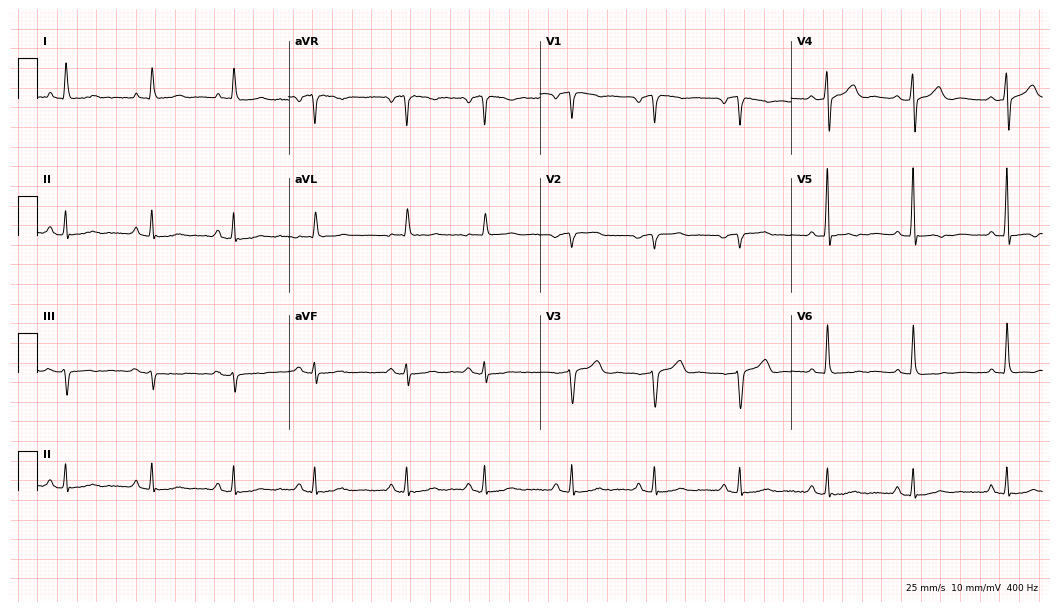
Standard 12-lead ECG recorded from a male patient, 77 years old. None of these six findings is recorded: first-degree AV block, right bundle branch block (RBBB), left bundle branch block (LBBB), sinus bradycardia, atrial fibrillation (AF), sinus tachycardia. Findings outside these six are not listed.